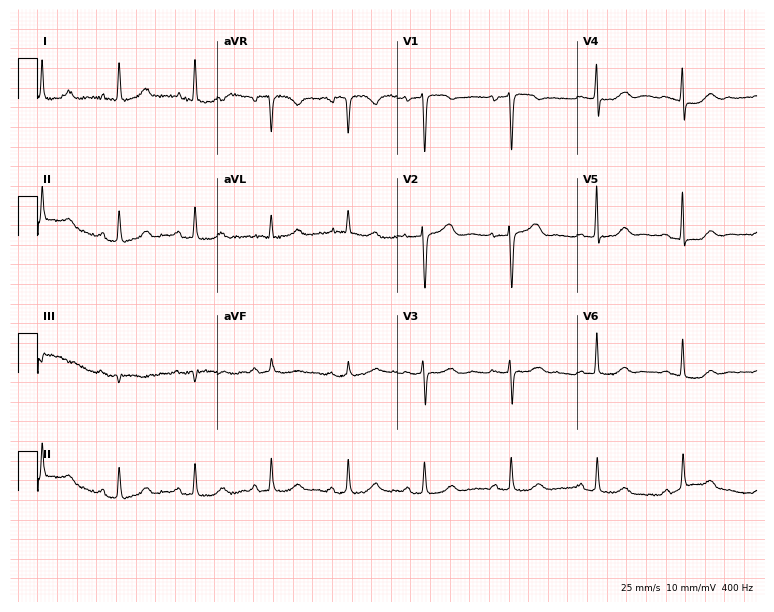
ECG (7.3-second recording at 400 Hz) — a 74-year-old woman. Labelled as a normal ECG.